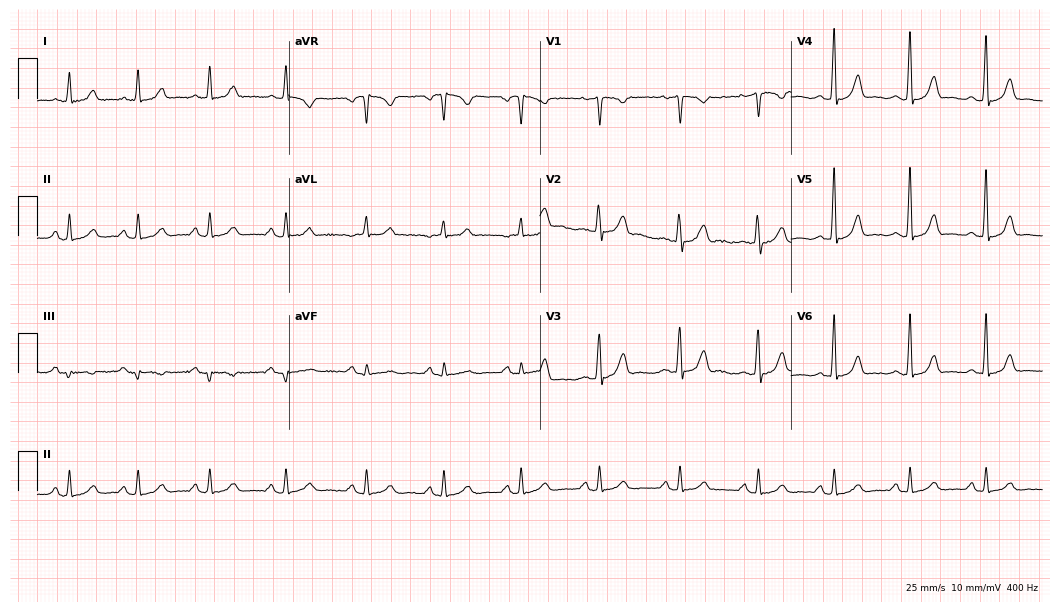
Standard 12-lead ECG recorded from a female, 35 years old (10.2-second recording at 400 Hz). Read as a normal ECG.